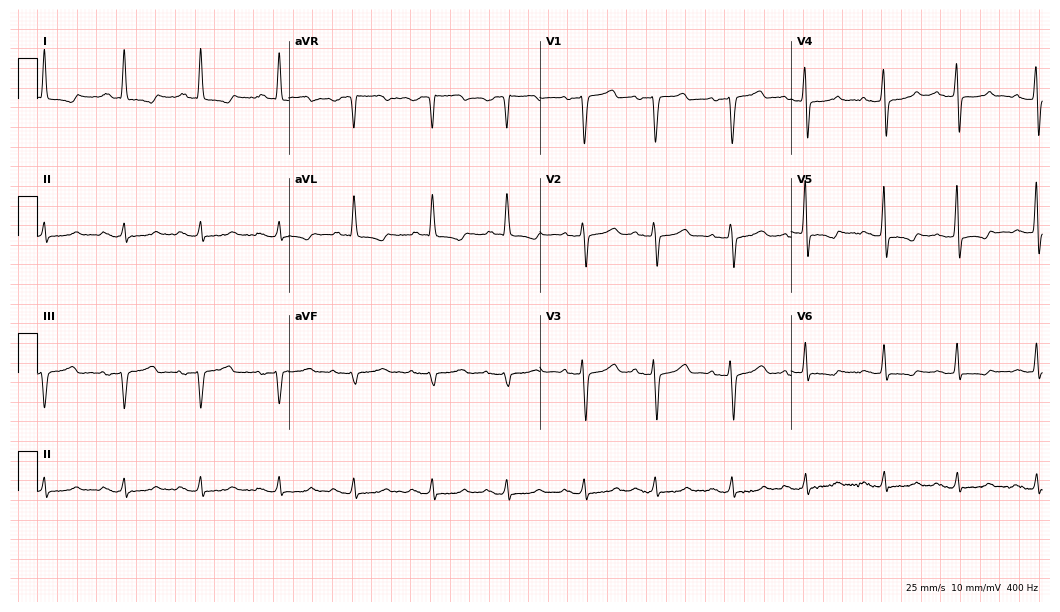
12-lead ECG from a 69-year-old woman. Shows first-degree AV block.